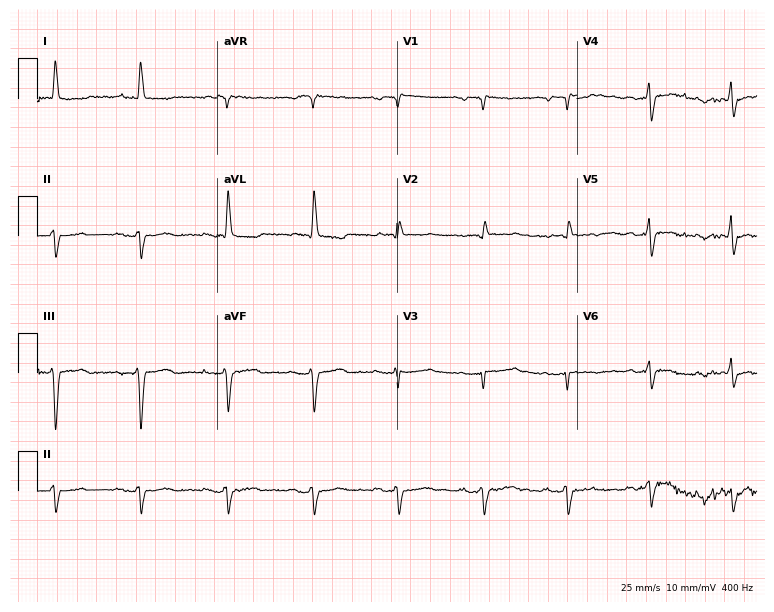
Standard 12-lead ECG recorded from a 73-year-old man. None of these six findings is recorded: first-degree AV block, right bundle branch block, left bundle branch block, sinus bradycardia, atrial fibrillation, sinus tachycardia.